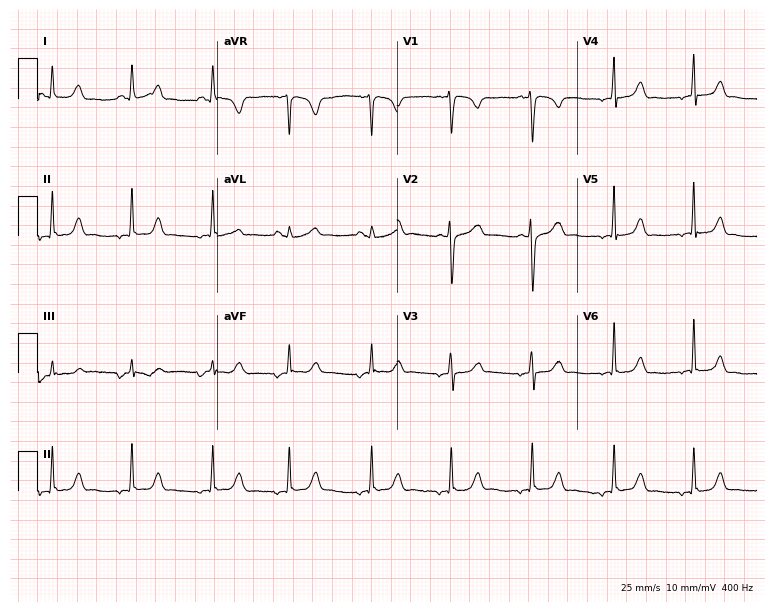
Electrocardiogram (7.3-second recording at 400 Hz), a woman, 26 years old. Of the six screened findings (first-degree AV block, right bundle branch block (RBBB), left bundle branch block (LBBB), sinus bradycardia, atrial fibrillation (AF), sinus tachycardia), none is recorded.